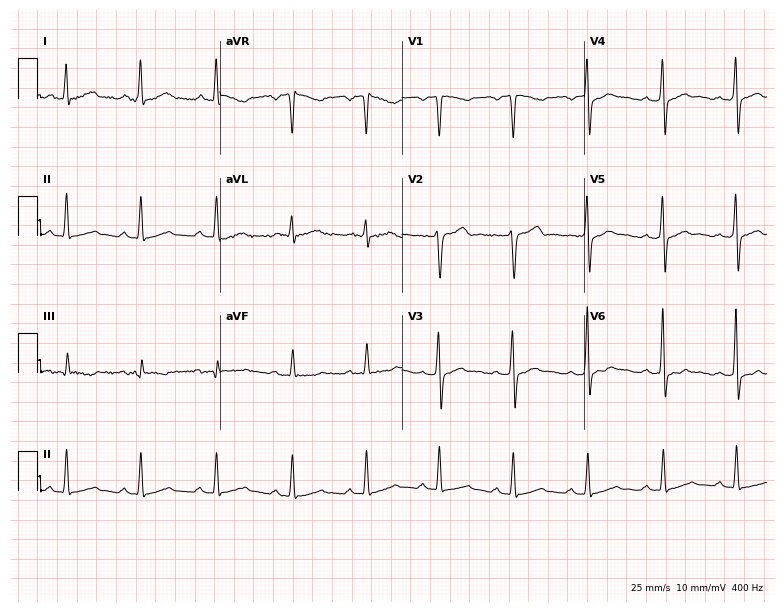
12-lead ECG (7.4-second recording at 400 Hz) from a man, 45 years old. Labelled as a normal ECG.